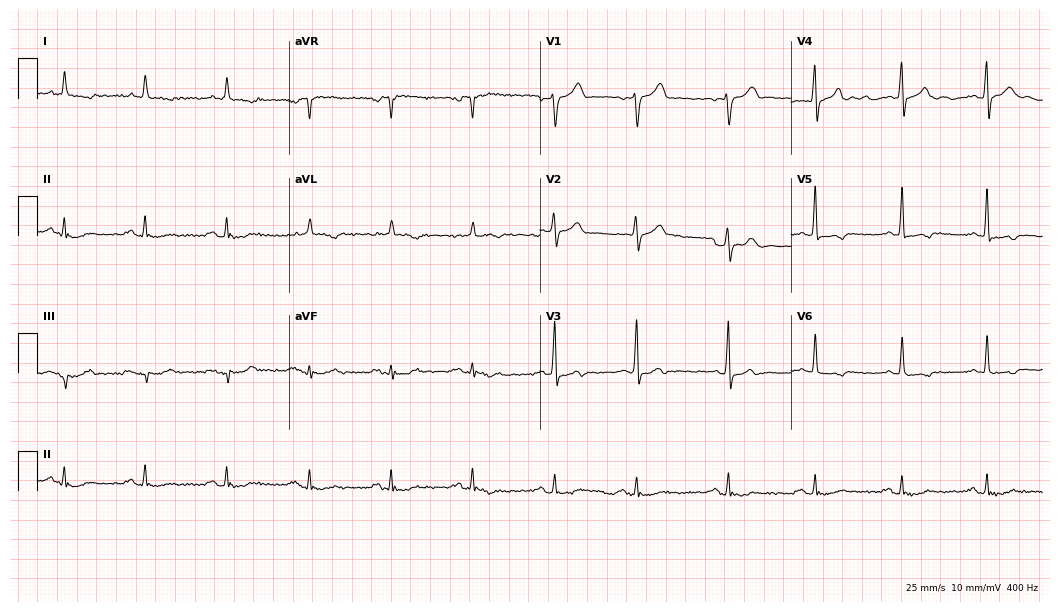
Electrocardiogram (10.2-second recording at 400 Hz), a man, 74 years old. Of the six screened findings (first-degree AV block, right bundle branch block, left bundle branch block, sinus bradycardia, atrial fibrillation, sinus tachycardia), none is recorded.